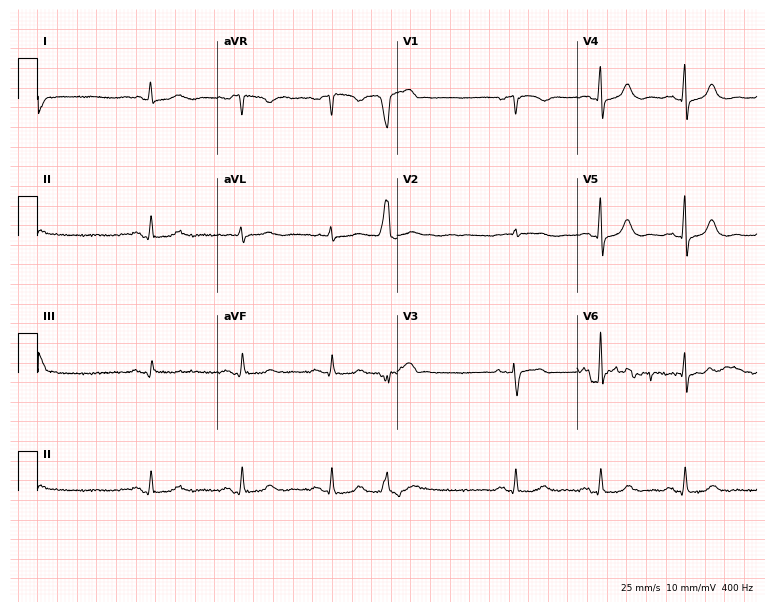
12-lead ECG from a woman, 79 years old. Recorded interpretation: within normal limits.